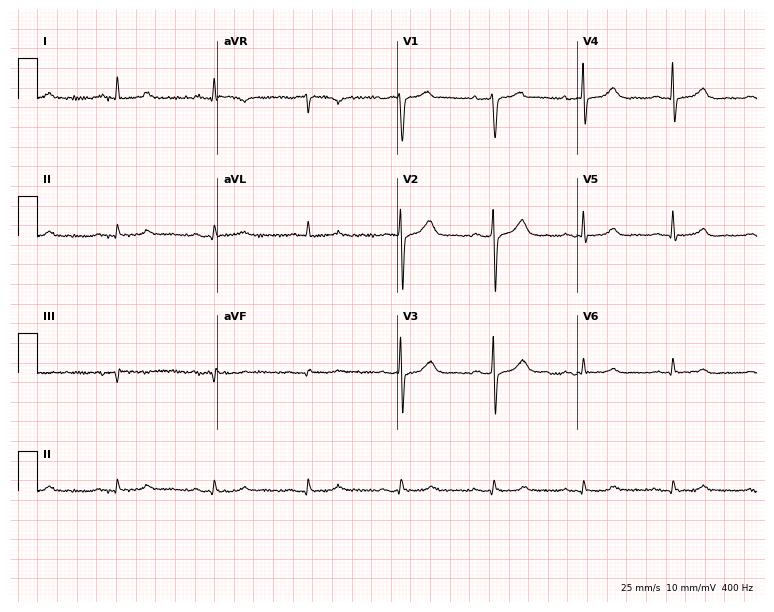
12-lead ECG from a 56-year-old man. Shows first-degree AV block.